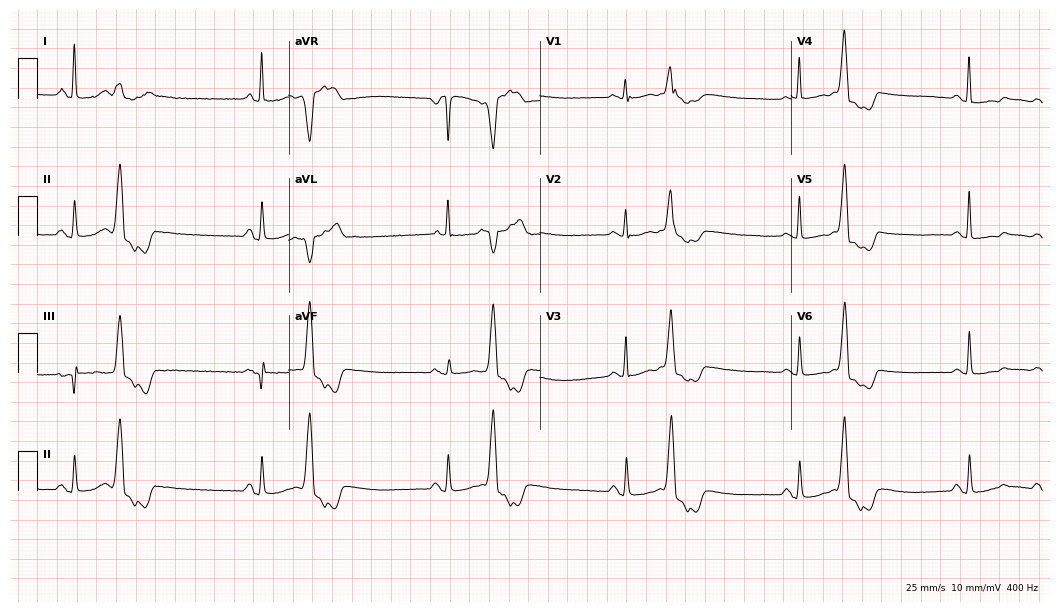
Resting 12-lead electrocardiogram (10.2-second recording at 400 Hz). Patient: a 75-year-old female. None of these six findings is recorded: first-degree AV block, right bundle branch block, left bundle branch block, sinus bradycardia, atrial fibrillation, sinus tachycardia.